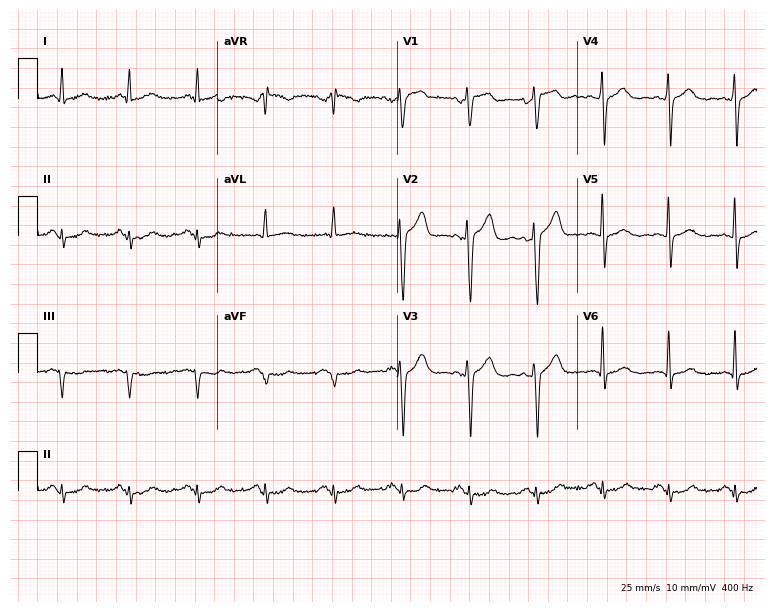
ECG (7.3-second recording at 400 Hz) — a male, 68 years old. Screened for six findings — first-degree AV block, right bundle branch block (RBBB), left bundle branch block (LBBB), sinus bradycardia, atrial fibrillation (AF), sinus tachycardia — none is recorded. Only these six findings were labelled.